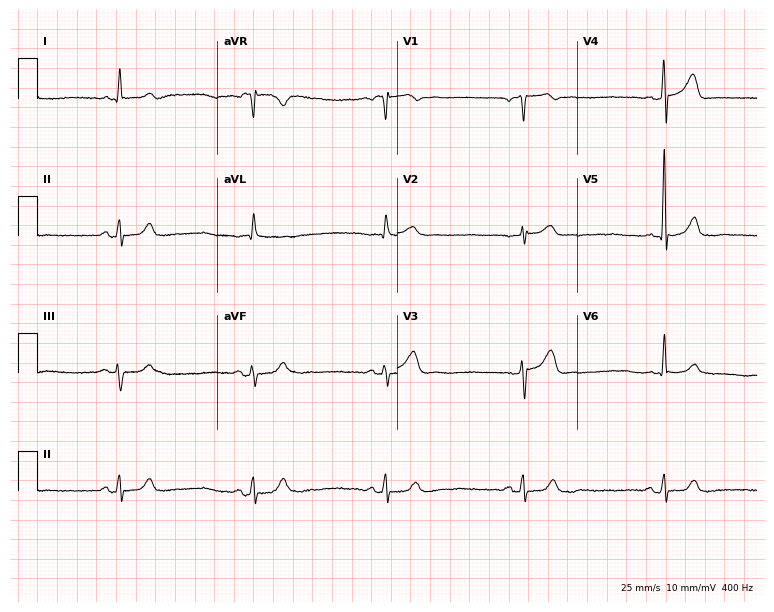
12-lead ECG from a male, 74 years old. Findings include sinus bradycardia (a sinus rate of 50 beats per minute or less).